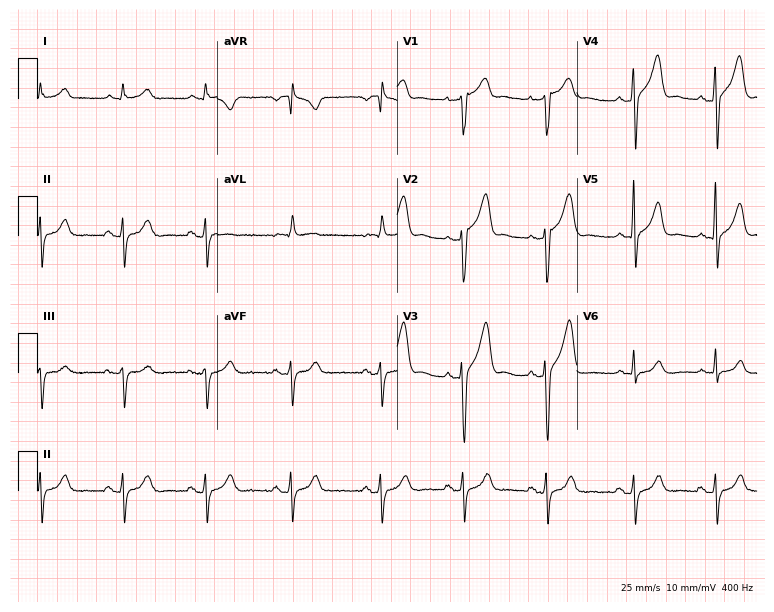
12-lead ECG (7.3-second recording at 400 Hz) from a man, 65 years old. Labelled as a normal ECG.